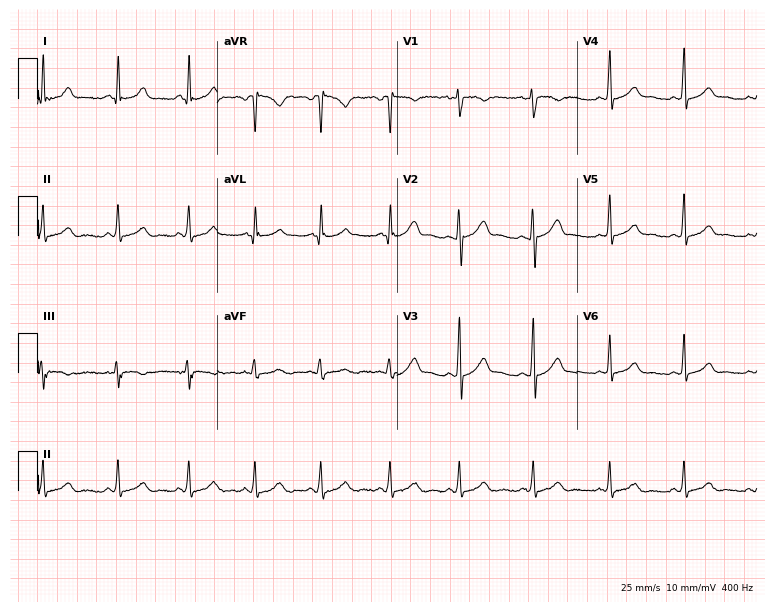
Standard 12-lead ECG recorded from a 26-year-old female. None of these six findings is recorded: first-degree AV block, right bundle branch block (RBBB), left bundle branch block (LBBB), sinus bradycardia, atrial fibrillation (AF), sinus tachycardia.